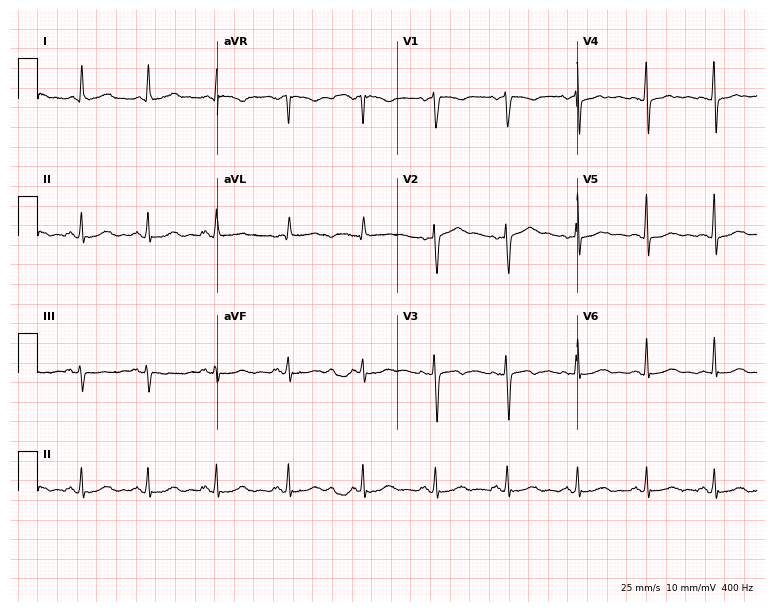
Resting 12-lead electrocardiogram. Patient: a 49-year-old female. Read as a normal ECG.